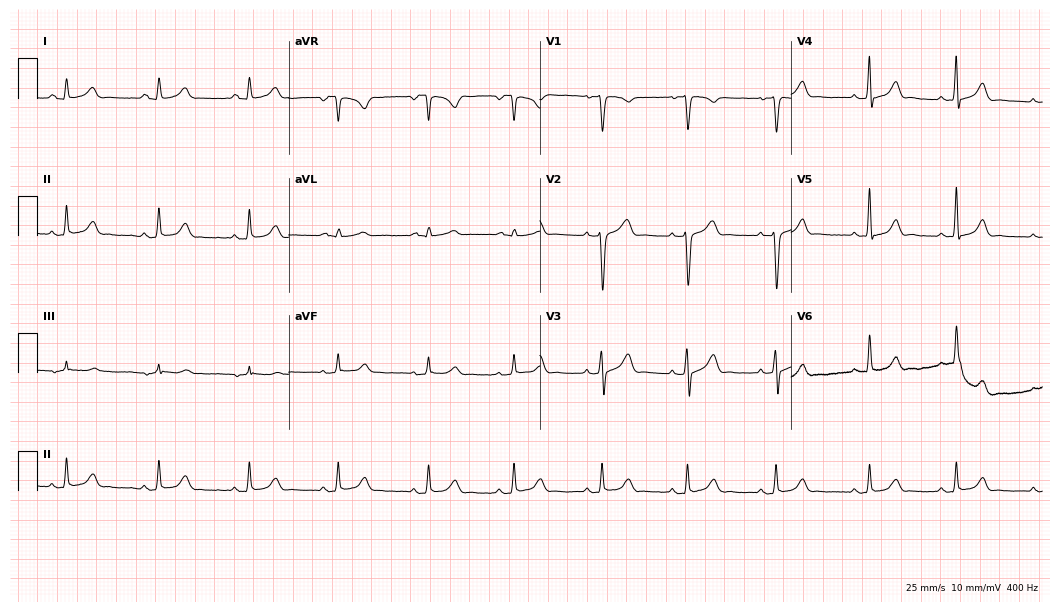
ECG — a 34-year-old male patient. Labelled as a normal ECG.